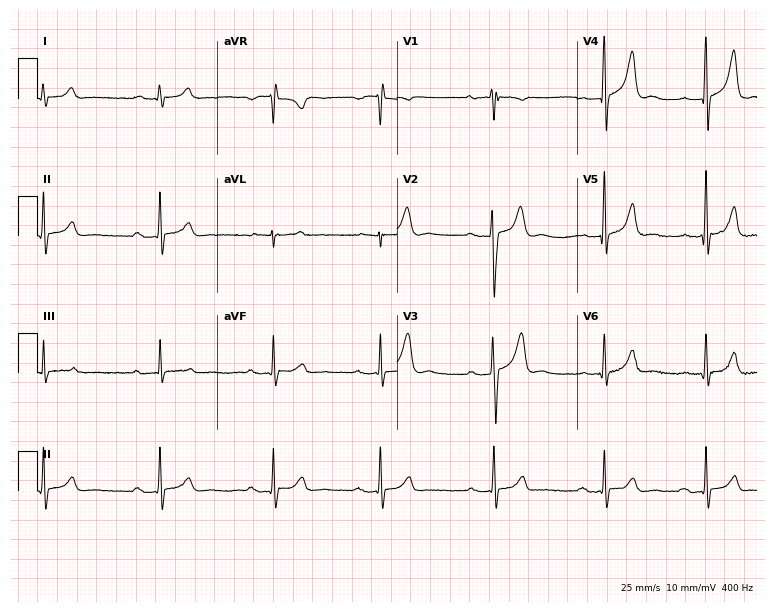
Standard 12-lead ECG recorded from a 33-year-old male (7.3-second recording at 400 Hz). Read as a normal ECG.